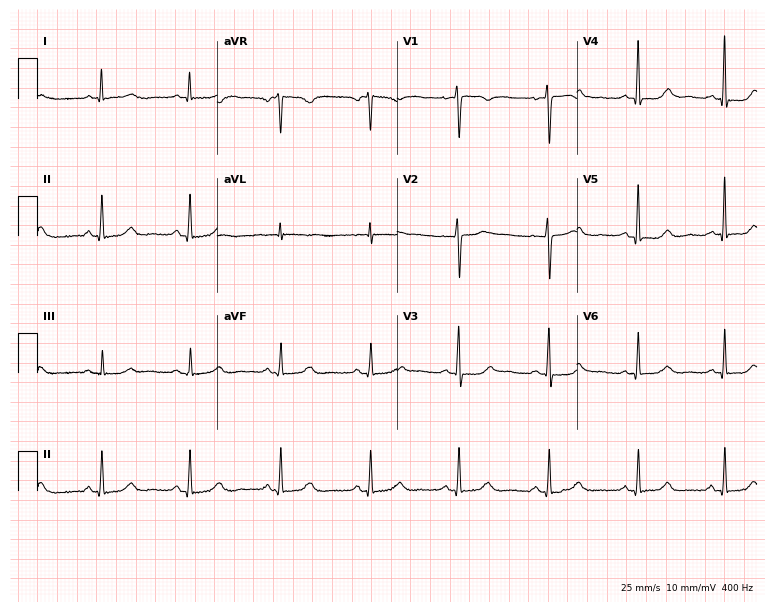
Resting 12-lead electrocardiogram (7.3-second recording at 400 Hz). Patient: a woman, 48 years old. None of these six findings is recorded: first-degree AV block, right bundle branch block (RBBB), left bundle branch block (LBBB), sinus bradycardia, atrial fibrillation (AF), sinus tachycardia.